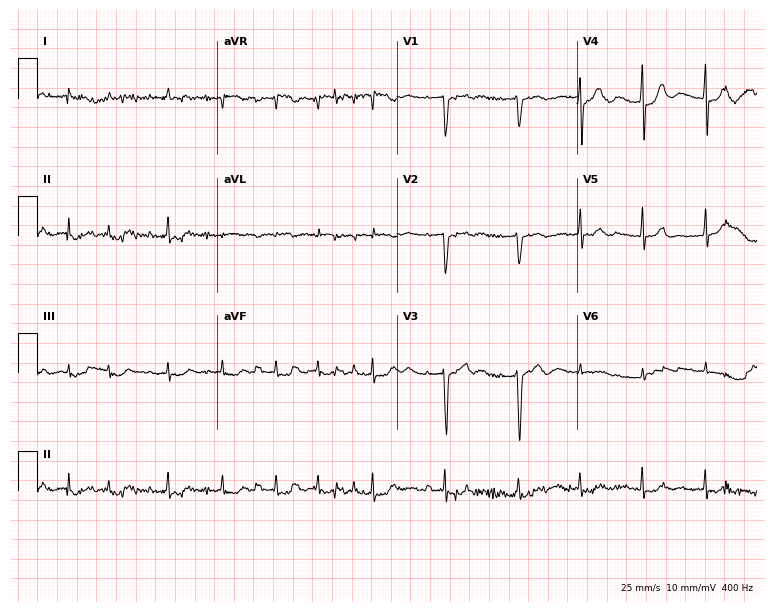
Standard 12-lead ECG recorded from a 76-year-old male. None of these six findings is recorded: first-degree AV block, right bundle branch block (RBBB), left bundle branch block (LBBB), sinus bradycardia, atrial fibrillation (AF), sinus tachycardia. Other findings, if any, are not listed.